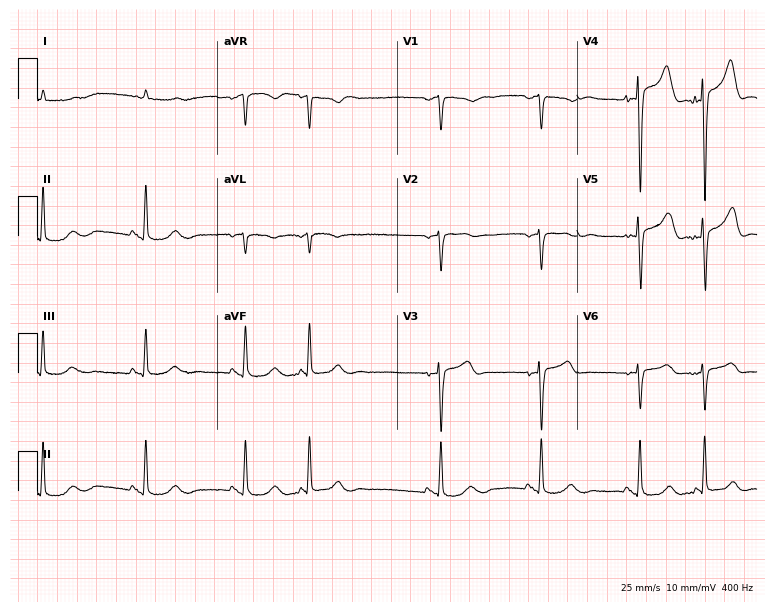
Resting 12-lead electrocardiogram. Patient: an 83-year-old male. None of these six findings is recorded: first-degree AV block, right bundle branch block, left bundle branch block, sinus bradycardia, atrial fibrillation, sinus tachycardia. Findings outside these six are not listed.